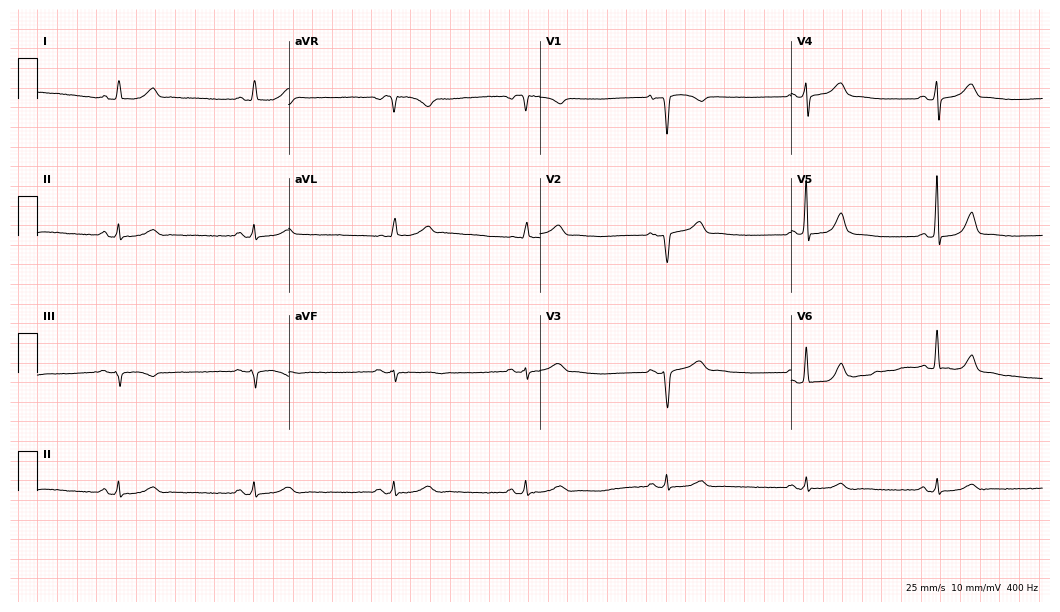
Standard 12-lead ECG recorded from a 44-year-old woman (10.2-second recording at 400 Hz). The tracing shows sinus bradycardia (a sinus rate of 50 beats per minute or less).